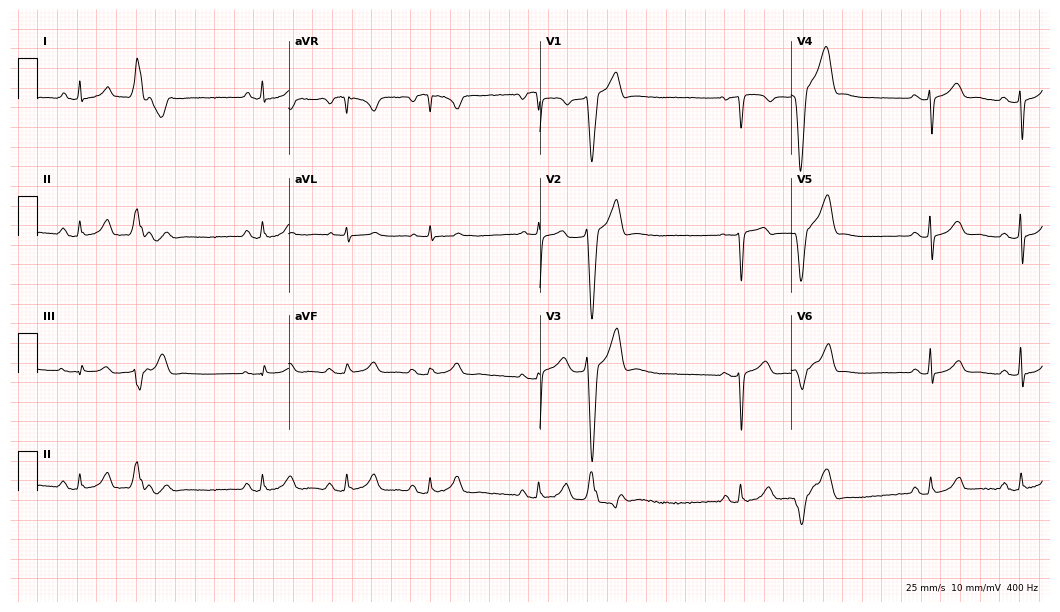
ECG (10.2-second recording at 400 Hz) — a 45-year-old female. Labelled as a normal ECG.